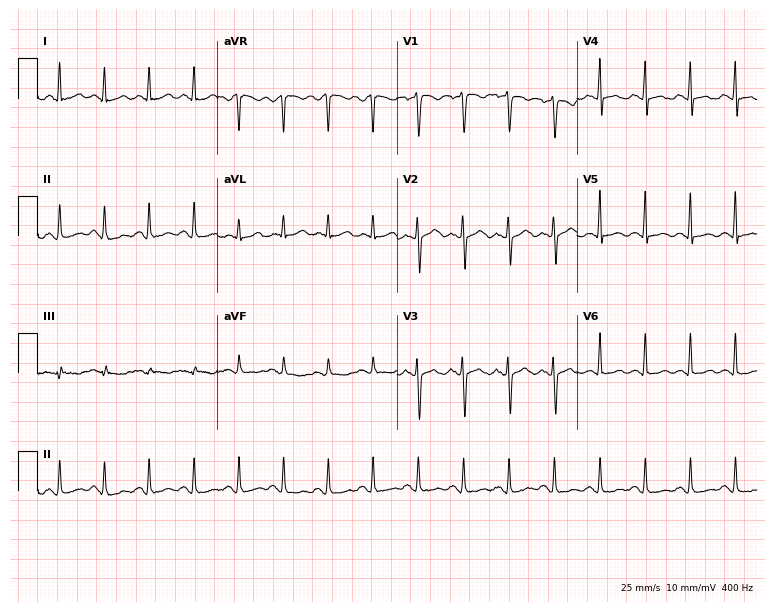
Resting 12-lead electrocardiogram. Patient: a female, 40 years old. The tracing shows sinus tachycardia (a sinus rate of 100 beats per minute or more).